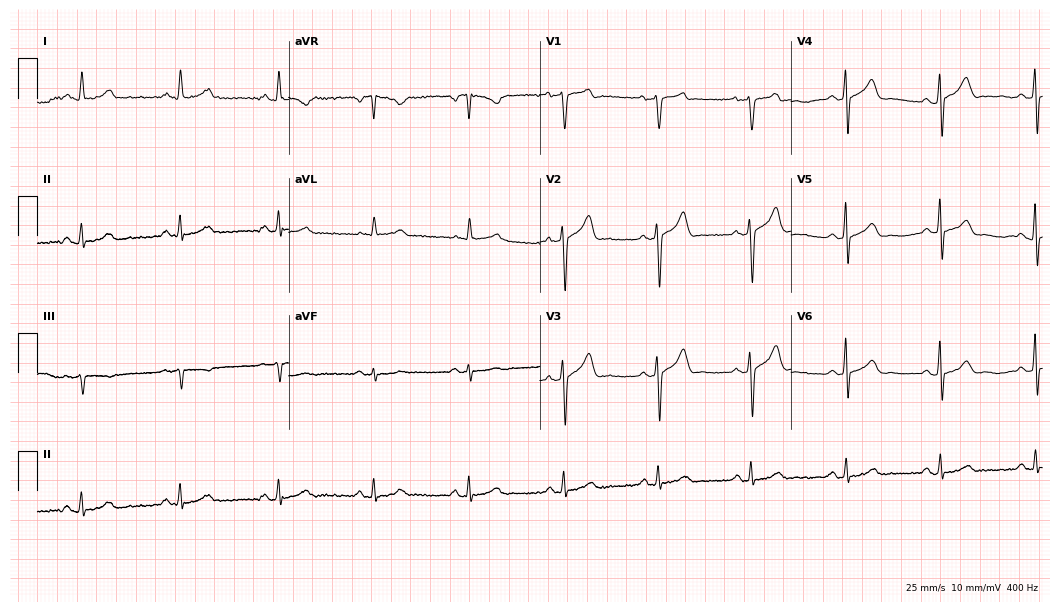
12-lead ECG (10.2-second recording at 400 Hz) from a man, 50 years old. Labelled as a normal ECG.